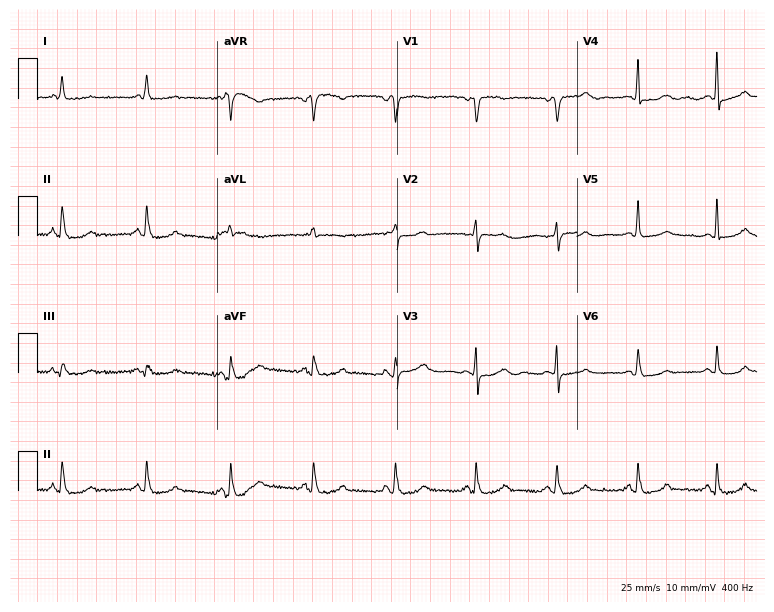
Standard 12-lead ECG recorded from a 59-year-old woman. Read as a normal ECG.